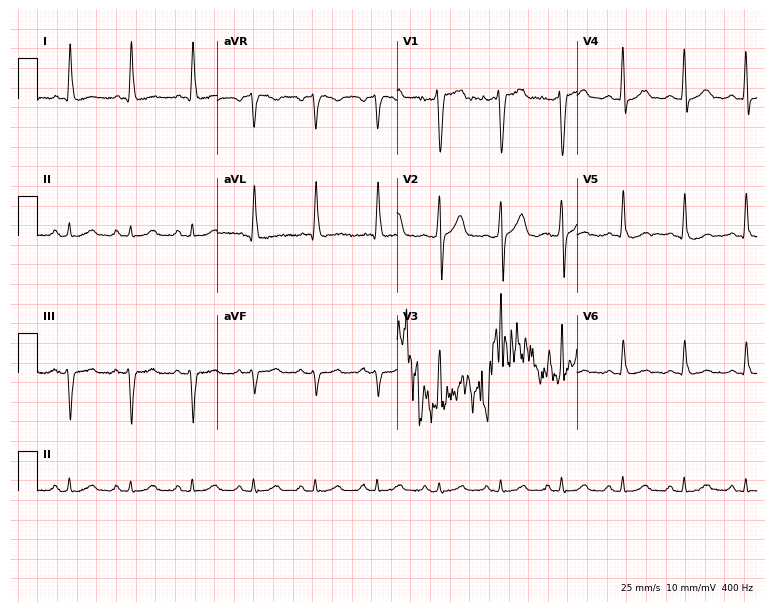
12-lead ECG from a 45-year-old male (7.3-second recording at 400 Hz). No first-degree AV block, right bundle branch block, left bundle branch block, sinus bradycardia, atrial fibrillation or sinus tachycardia recorded for this tracing. Findings outside these six are not listed.